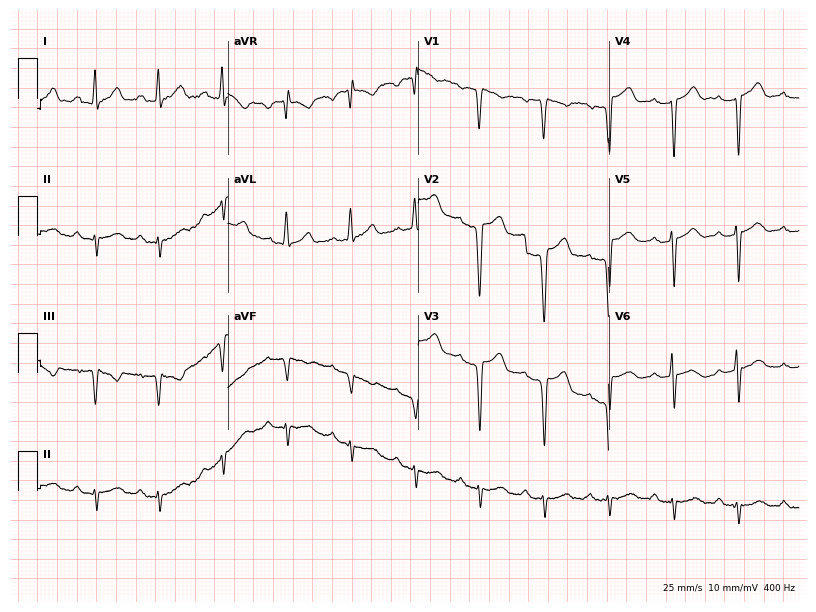
Standard 12-lead ECG recorded from a man, 49 years old. The tracing shows first-degree AV block.